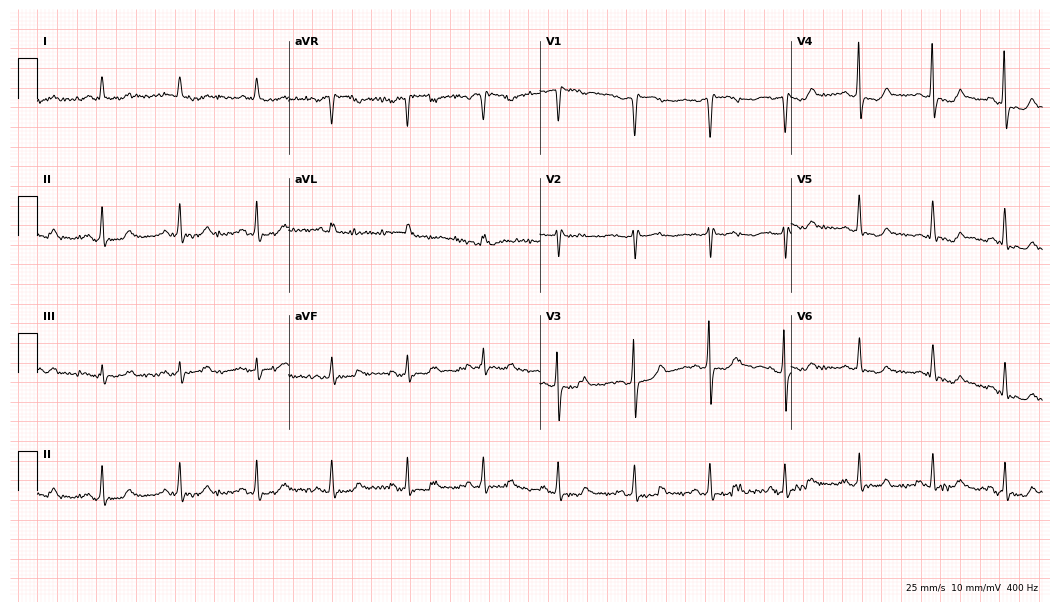
Resting 12-lead electrocardiogram. Patient: a 65-year-old woman. None of these six findings is recorded: first-degree AV block, right bundle branch block, left bundle branch block, sinus bradycardia, atrial fibrillation, sinus tachycardia.